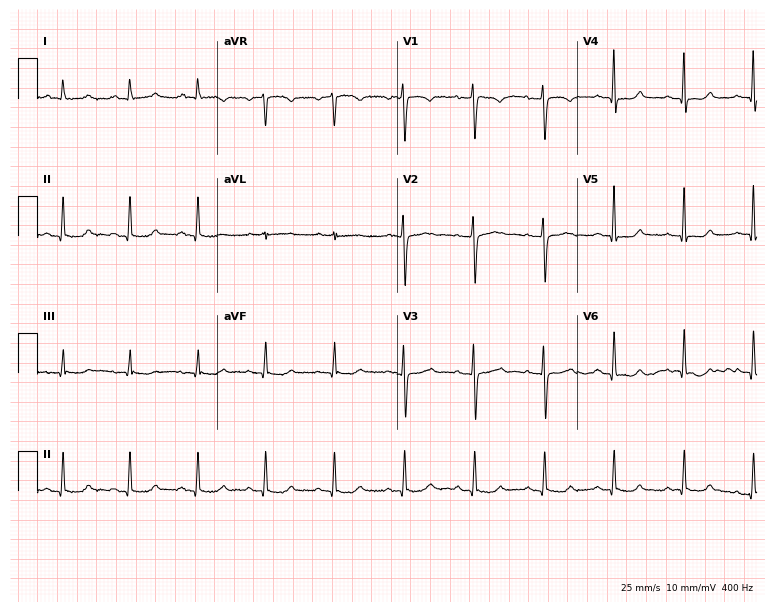
Resting 12-lead electrocardiogram. Patient: a 54-year-old female. None of these six findings is recorded: first-degree AV block, right bundle branch block, left bundle branch block, sinus bradycardia, atrial fibrillation, sinus tachycardia.